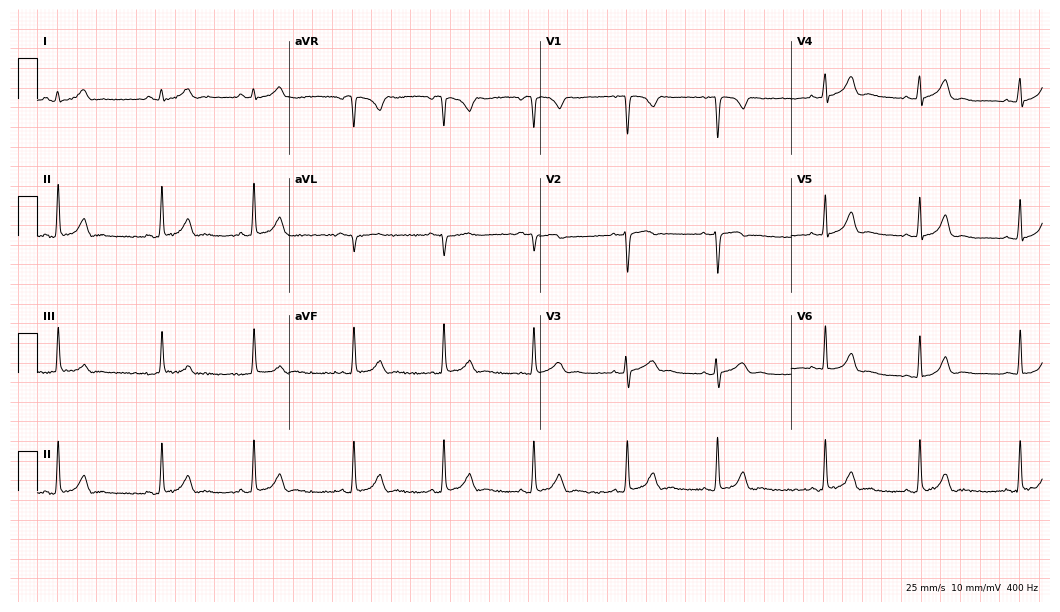
12-lead ECG from a woman, 25 years old. Recorded interpretation: within normal limits.